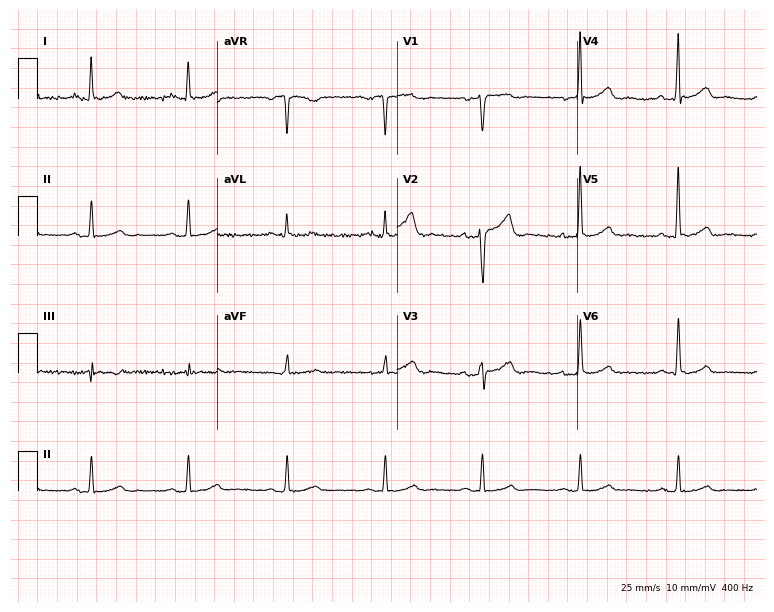
Standard 12-lead ECG recorded from a male patient, 63 years old (7.3-second recording at 400 Hz). Read as a normal ECG.